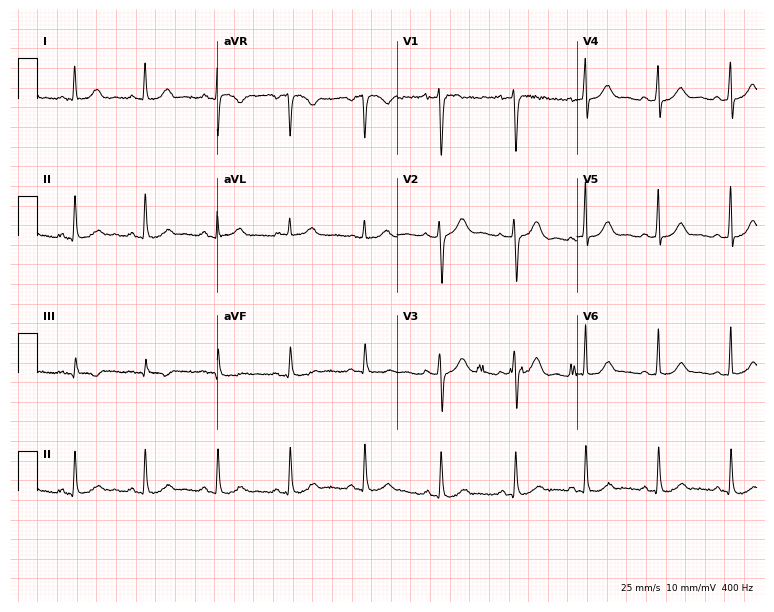
Electrocardiogram (7.3-second recording at 400 Hz), a female patient, 36 years old. Of the six screened findings (first-degree AV block, right bundle branch block (RBBB), left bundle branch block (LBBB), sinus bradycardia, atrial fibrillation (AF), sinus tachycardia), none is recorded. Other findings, if any, are not listed.